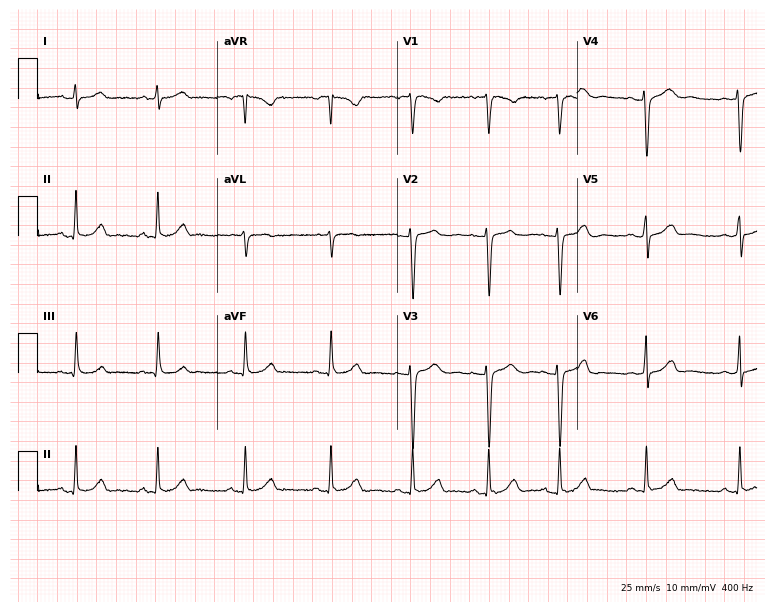
12-lead ECG (7.3-second recording at 400 Hz) from a female, 20 years old. Labelled as a normal ECG.